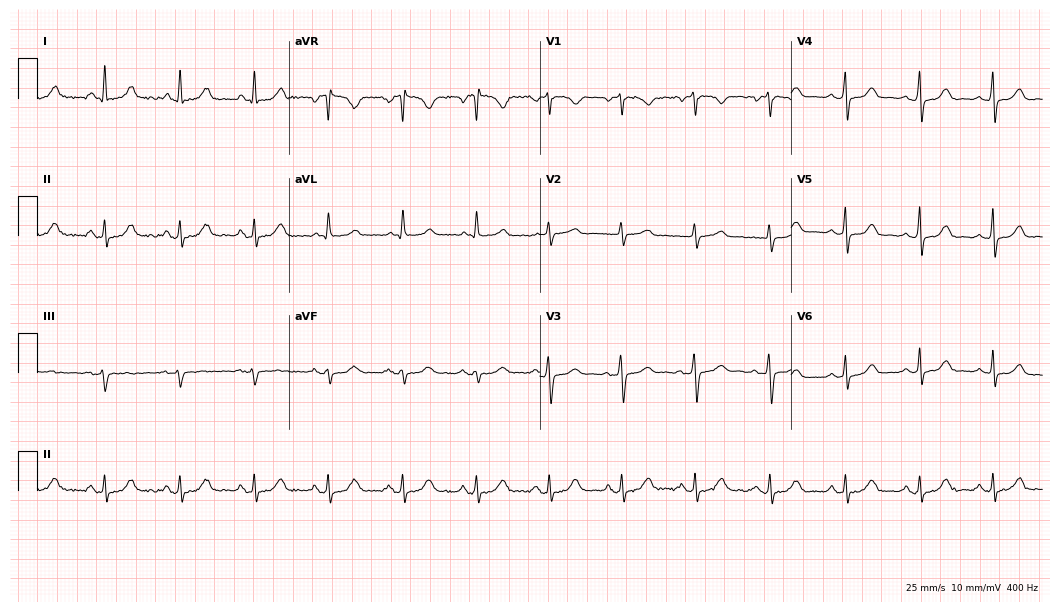
Electrocardiogram (10.2-second recording at 400 Hz), a 53-year-old female. Overall reading on record: normal ECG.